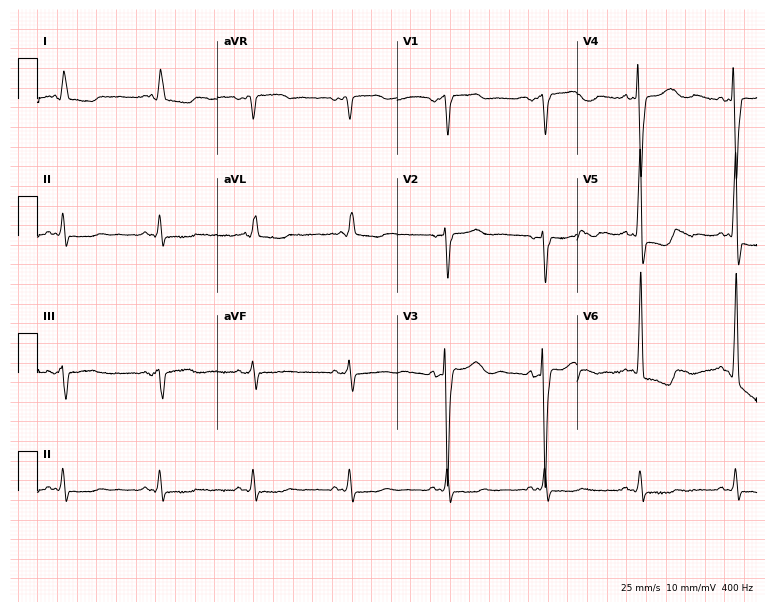
ECG — a male, 87 years old. Screened for six findings — first-degree AV block, right bundle branch block, left bundle branch block, sinus bradycardia, atrial fibrillation, sinus tachycardia — none is recorded.